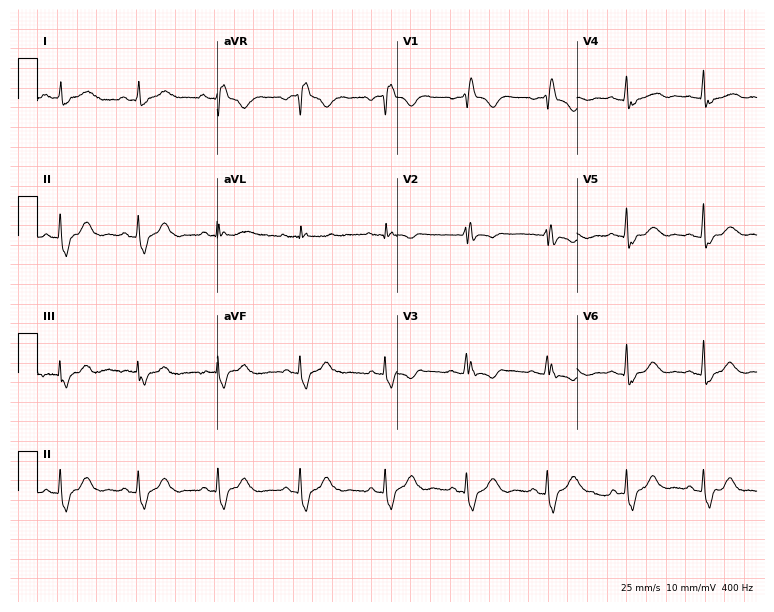
ECG (7.3-second recording at 400 Hz) — a female patient, 56 years old. Findings include right bundle branch block.